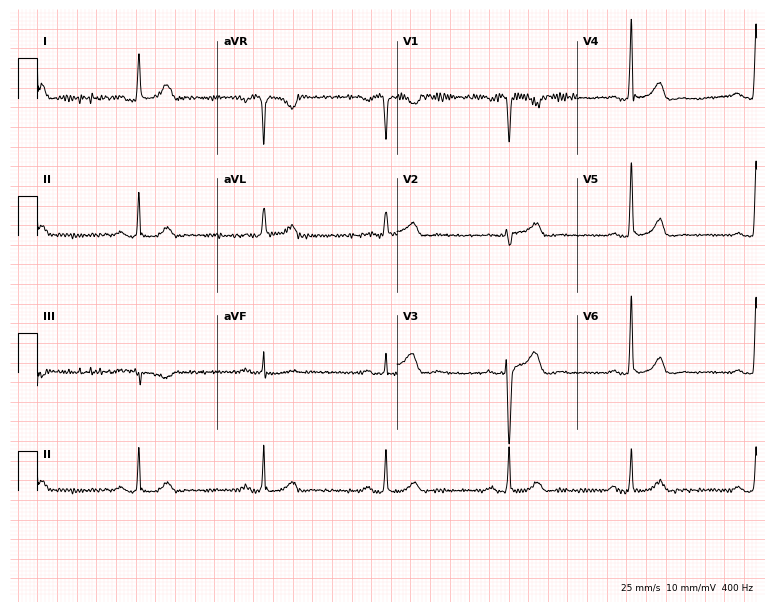
Electrocardiogram (7.3-second recording at 400 Hz), a 50-year-old male. Of the six screened findings (first-degree AV block, right bundle branch block (RBBB), left bundle branch block (LBBB), sinus bradycardia, atrial fibrillation (AF), sinus tachycardia), none is recorded.